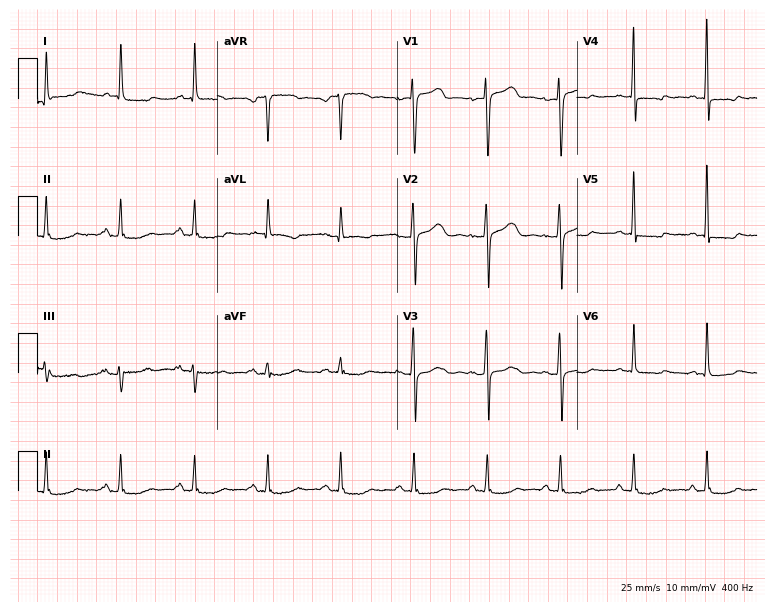
Standard 12-lead ECG recorded from a 66-year-old female patient. None of these six findings is recorded: first-degree AV block, right bundle branch block (RBBB), left bundle branch block (LBBB), sinus bradycardia, atrial fibrillation (AF), sinus tachycardia. Only these six findings were labelled.